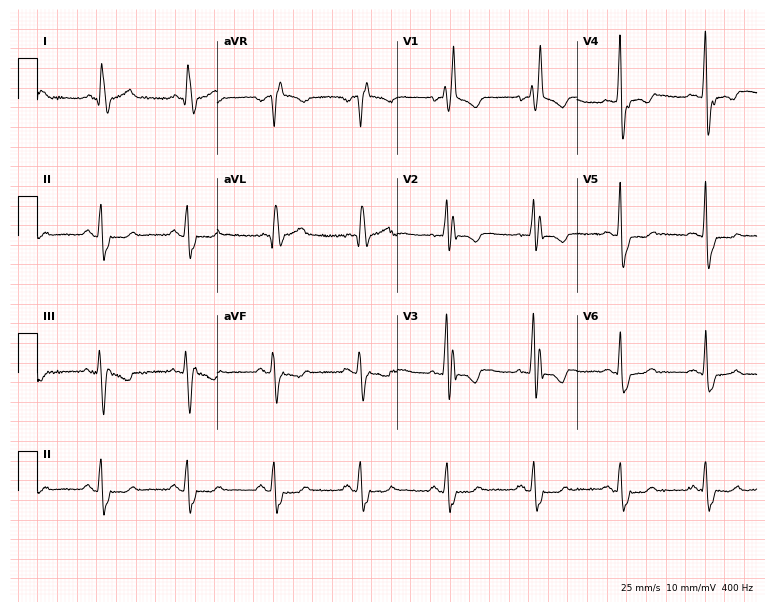
Standard 12-lead ECG recorded from a 61-year-old female patient. The tracing shows right bundle branch block.